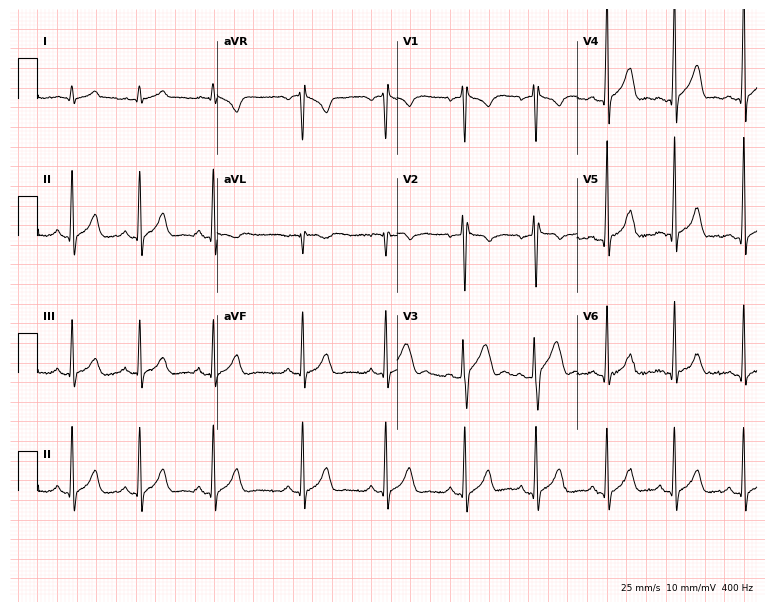
Standard 12-lead ECG recorded from a male, 19 years old (7.3-second recording at 400 Hz). Read as a normal ECG.